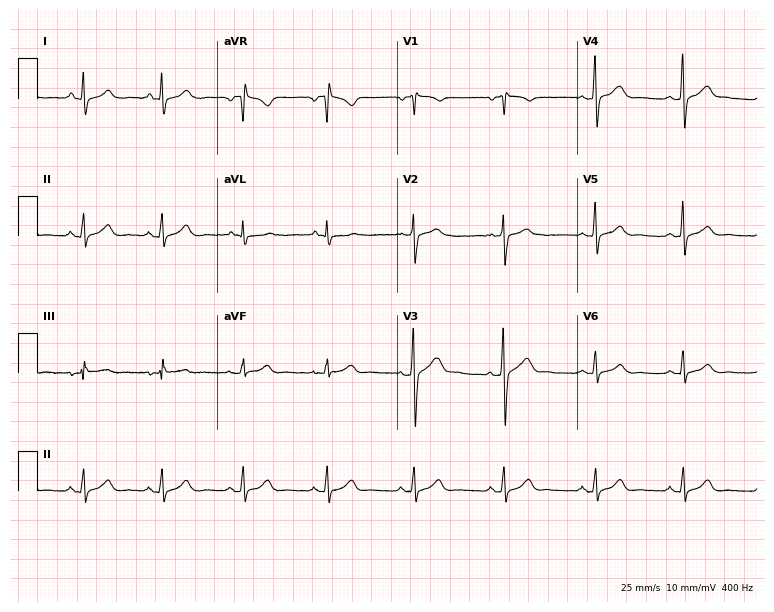
12-lead ECG from a man, 40 years old (7.3-second recording at 400 Hz). Recorded interpretation: within normal limits.